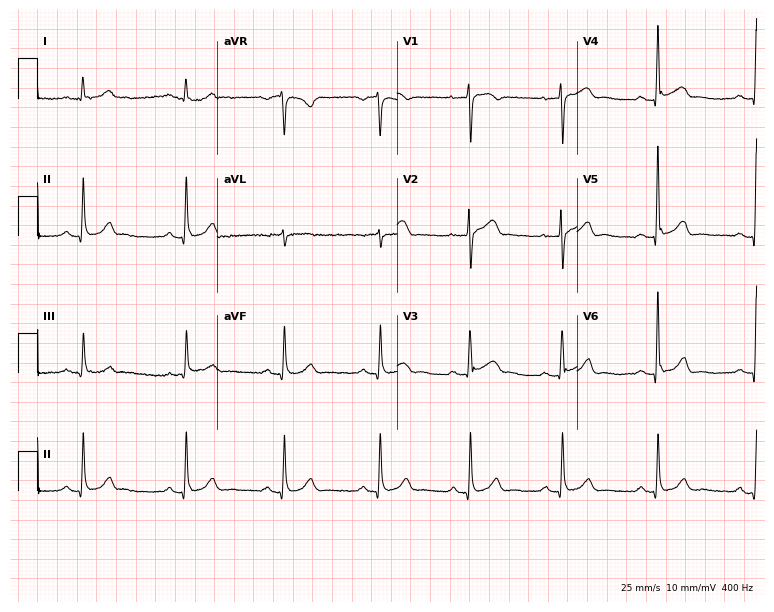
12-lead ECG from a man, 75 years old. Labelled as a normal ECG.